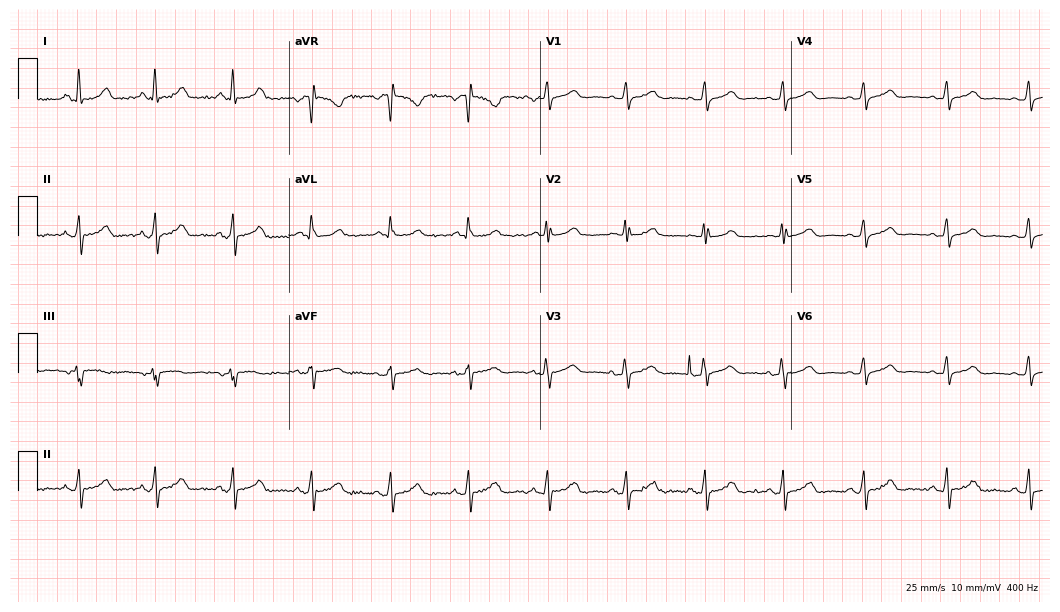
Resting 12-lead electrocardiogram (10.2-second recording at 400 Hz). Patient: a 62-year-old woman. Read as a normal ECG.